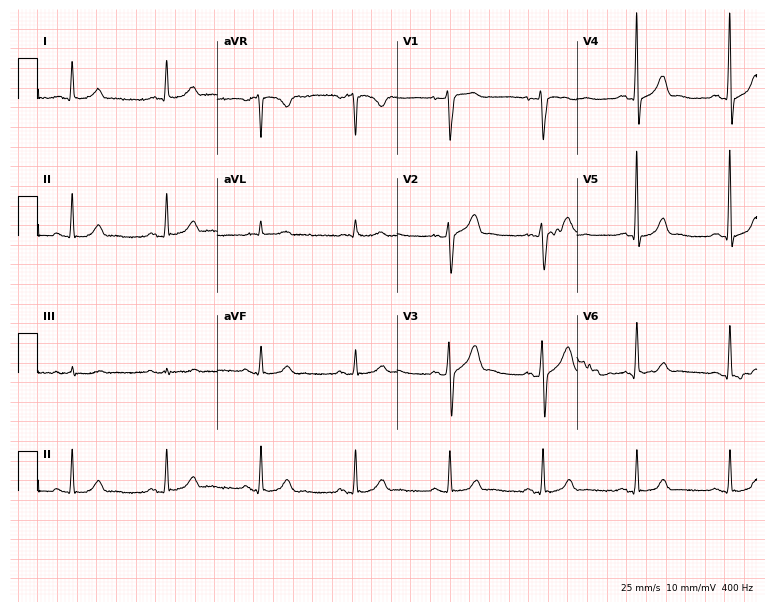
ECG — a male, 70 years old. Labelled as a normal ECG.